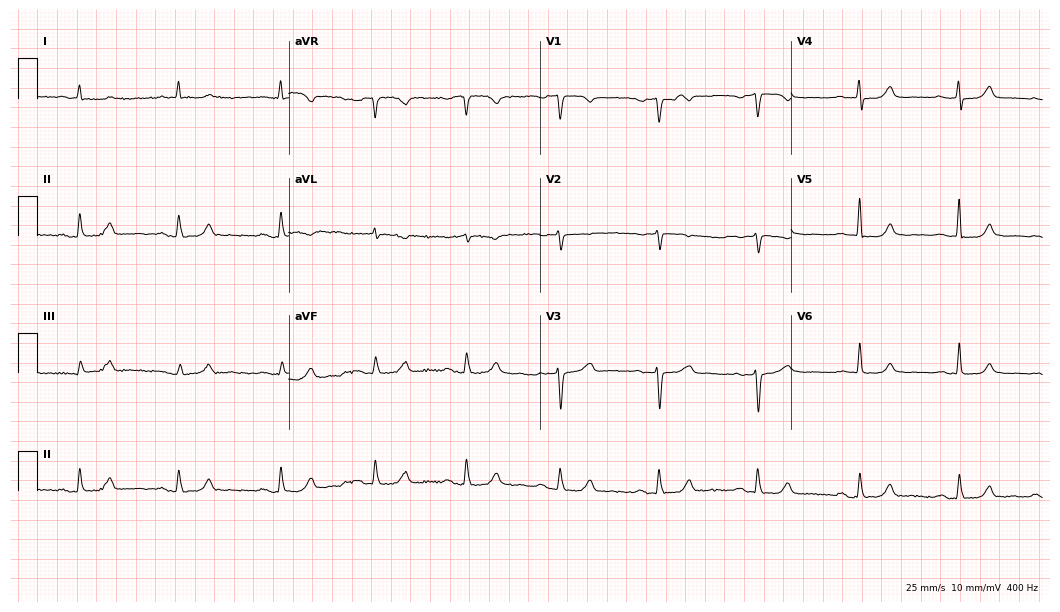
12-lead ECG from a 78-year-old female patient. Recorded interpretation: within normal limits.